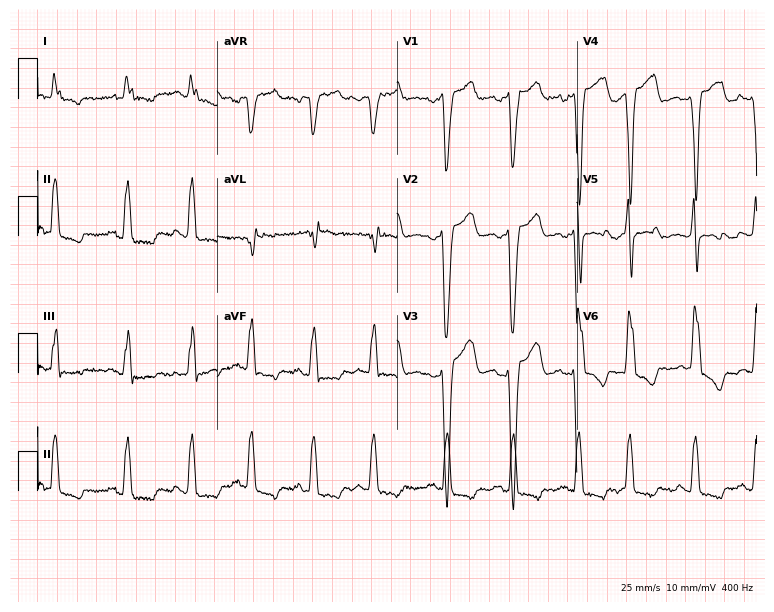
Electrocardiogram, a male, 79 years old. Interpretation includes left bundle branch block (LBBB).